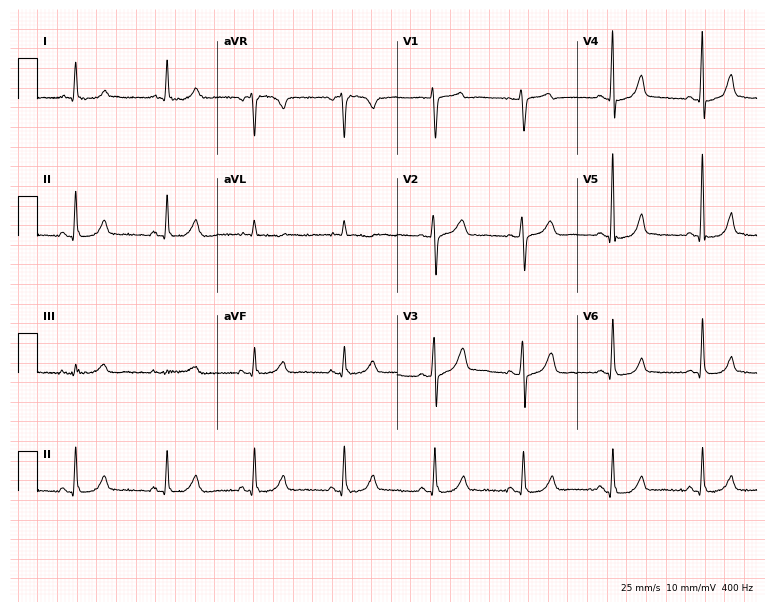
Standard 12-lead ECG recorded from a female patient, 66 years old. Read as a normal ECG.